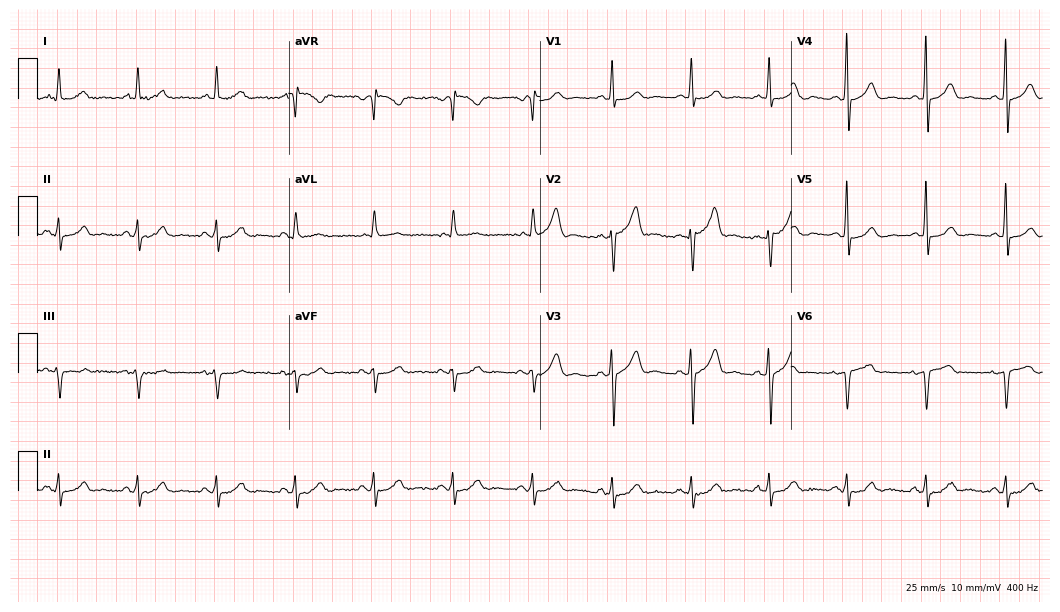
Electrocardiogram, a 66-year-old male. Overall reading on record: normal ECG.